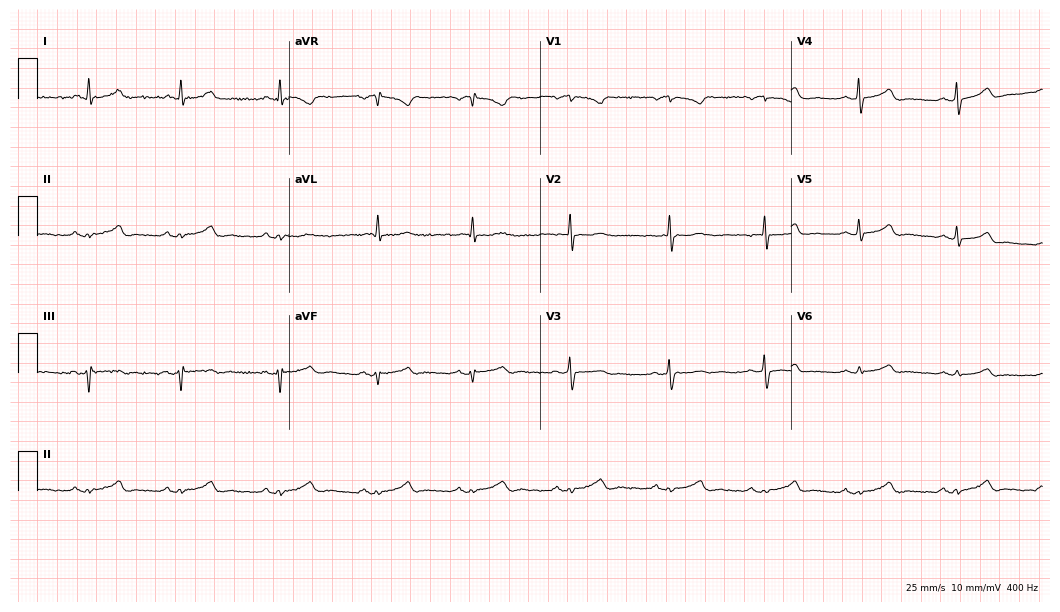
12-lead ECG from a 51-year-old woman (10.2-second recording at 400 Hz). No first-degree AV block, right bundle branch block, left bundle branch block, sinus bradycardia, atrial fibrillation or sinus tachycardia recorded for this tracing.